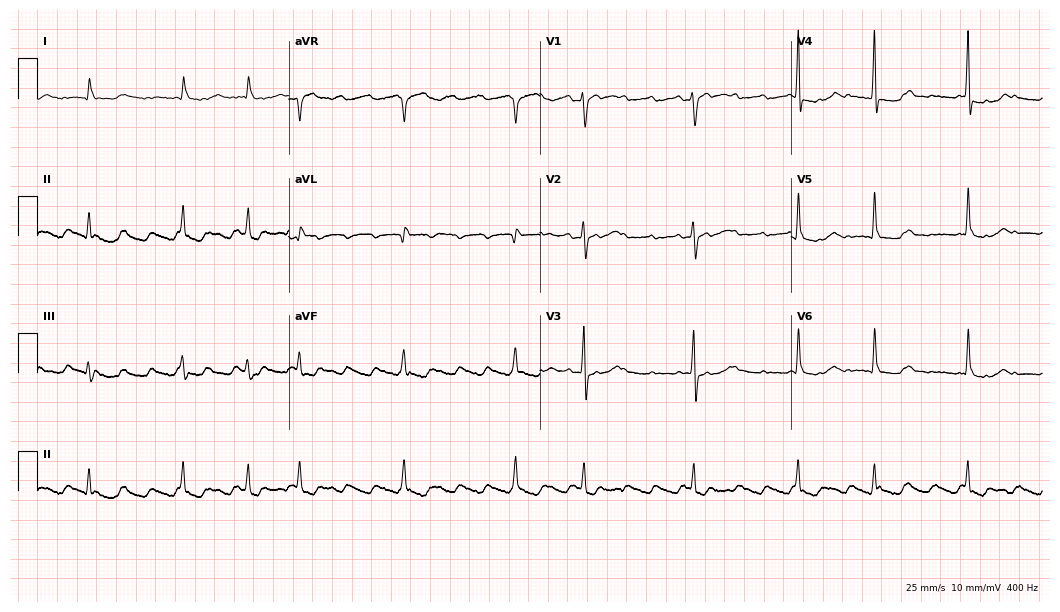
12-lead ECG from a 71-year-old man (10.2-second recording at 400 Hz). Shows atrial fibrillation.